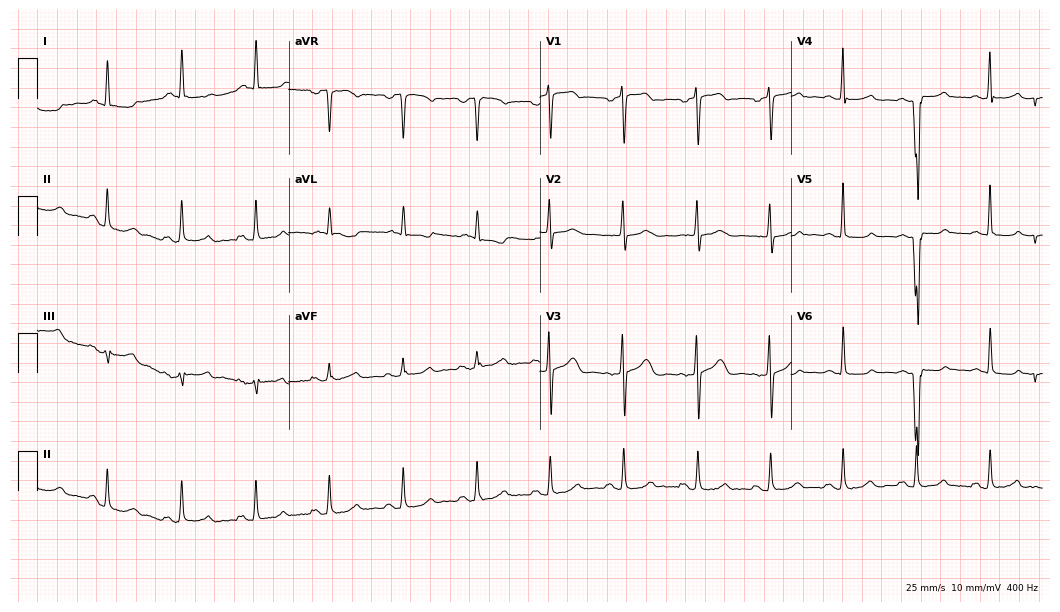
Standard 12-lead ECG recorded from a 70-year-old woman. Read as a normal ECG.